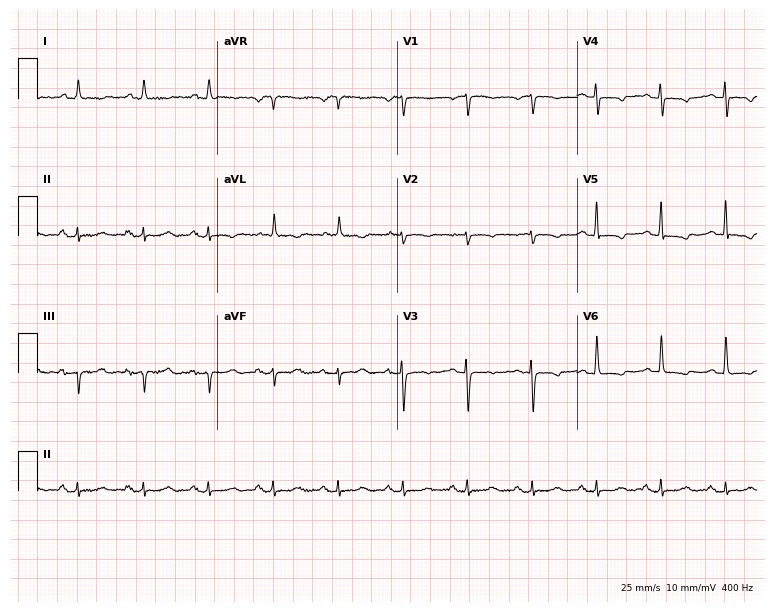
Standard 12-lead ECG recorded from an 88-year-old woman (7.3-second recording at 400 Hz). None of these six findings is recorded: first-degree AV block, right bundle branch block, left bundle branch block, sinus bradycardia, atrial fibrillation, sinus tachycardia. Findings outside these six are not listed.